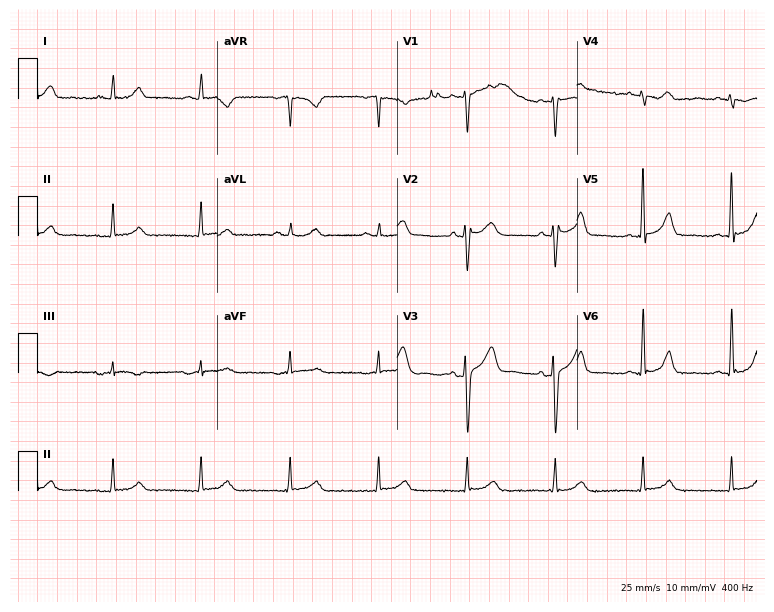
Resting 12-lead electrocardiogram. Patient: a male, 56 years old. Read as a normal ECG.